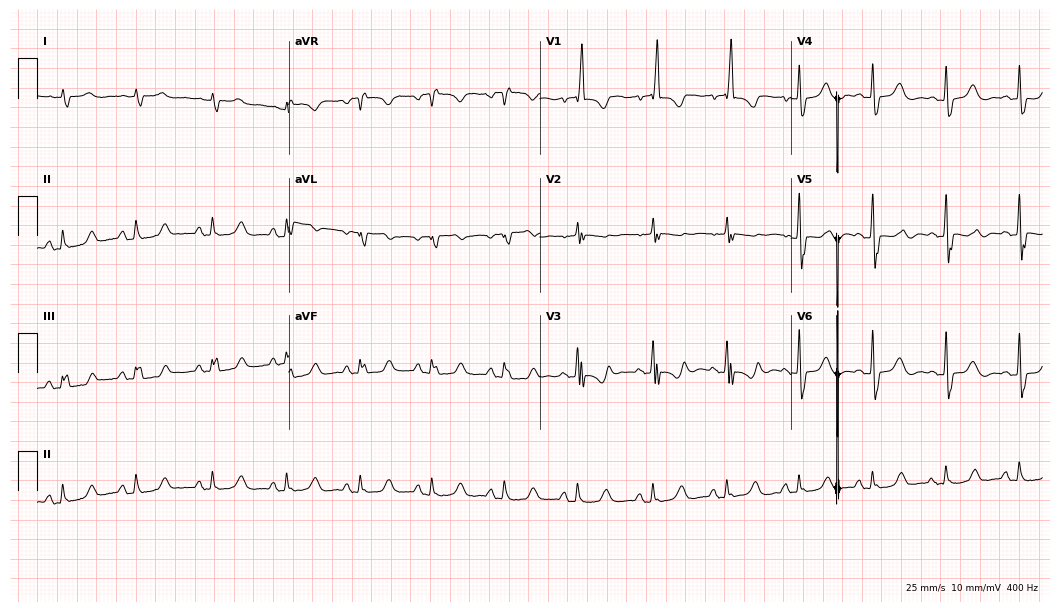
12-lead ECG from a male, 72 years old. Screened for six findings — first-degree AV block, right bundle branch block, left bundle branch block, sinus bradycardia, atrial fibrillation, sinus tachycardia — none is recorded. Findings outside these six are not listed.